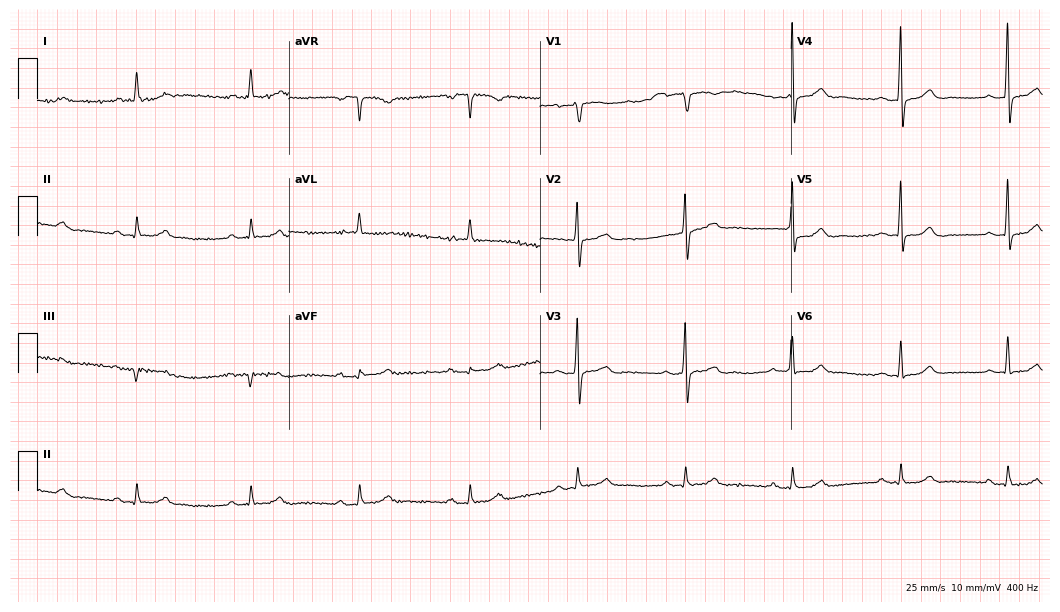
Electrocardiogram (10.2-second recording at 400 Hz), a female, 82 years old. Overall reading on record: normal ECG.